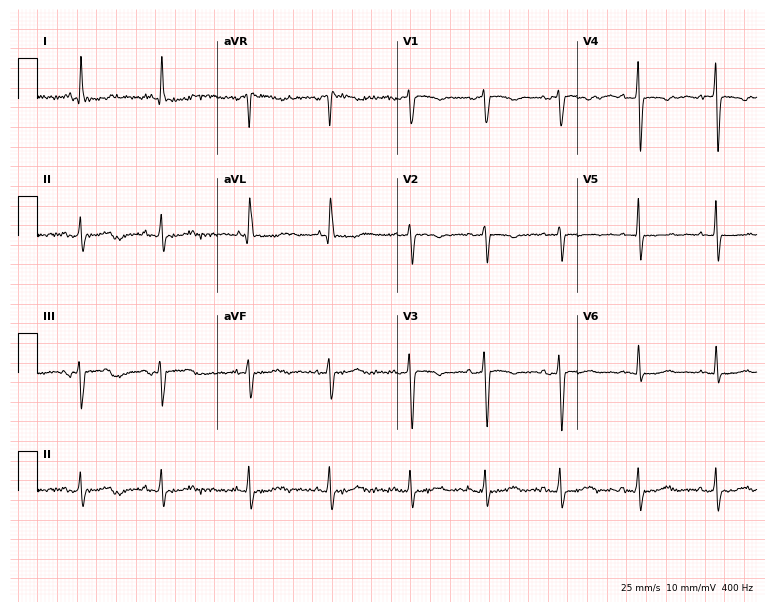
12-lead ECG from an 81-year-old woman (7.3-second recording at 400 Hz). No first-degree AV block, right bundle branch block (RBBB), left bundle branch block (LBBB), sinus bradycardia, atrial fibrillation (AF) or sinus tachycardia recorded for this tracing. Findings outside these six are not listed.